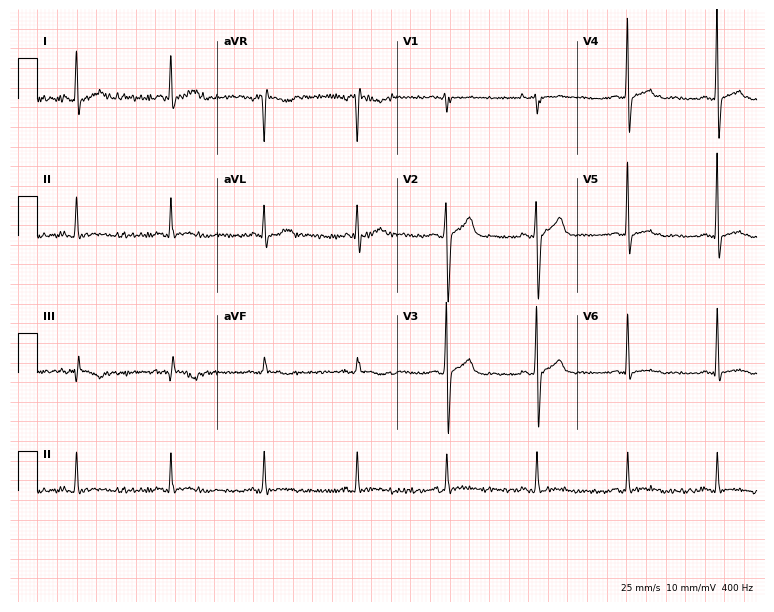
Electrocardiogram, a man, 28 years old. Of the six screened findings (first-degree AV block, right bundle branch block, left bundle branch block, sinus bradycardia, atrial fibrillation, sinus tachycardia), none is recorded. Only these six findings were labelled.